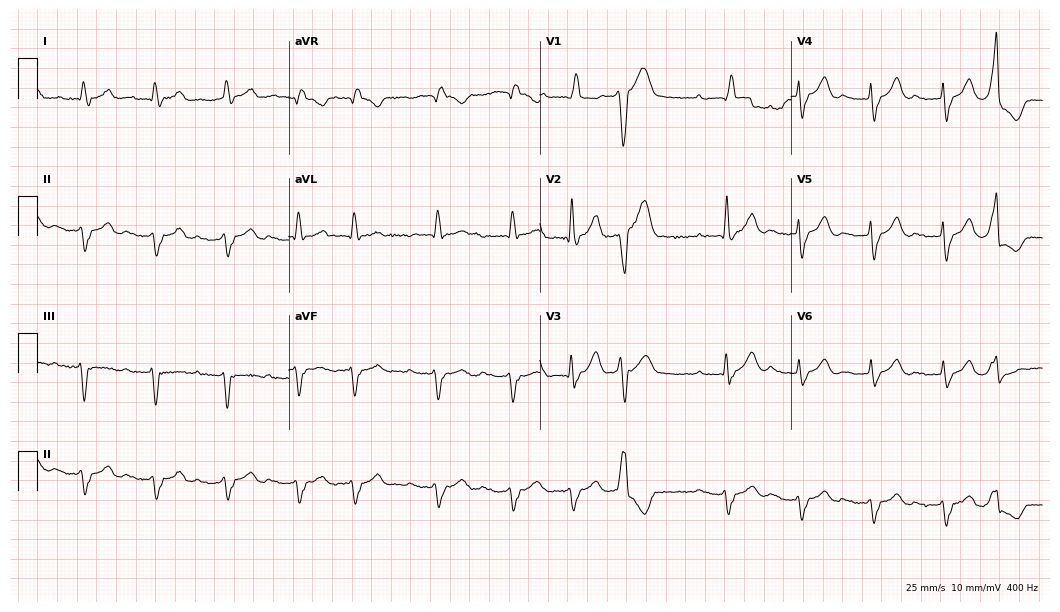
Resting 12-lead electrocardiogram. Patient: an 84-year-old male. The tracing shows first-degree AV block, right bundle branch block (RBBB).